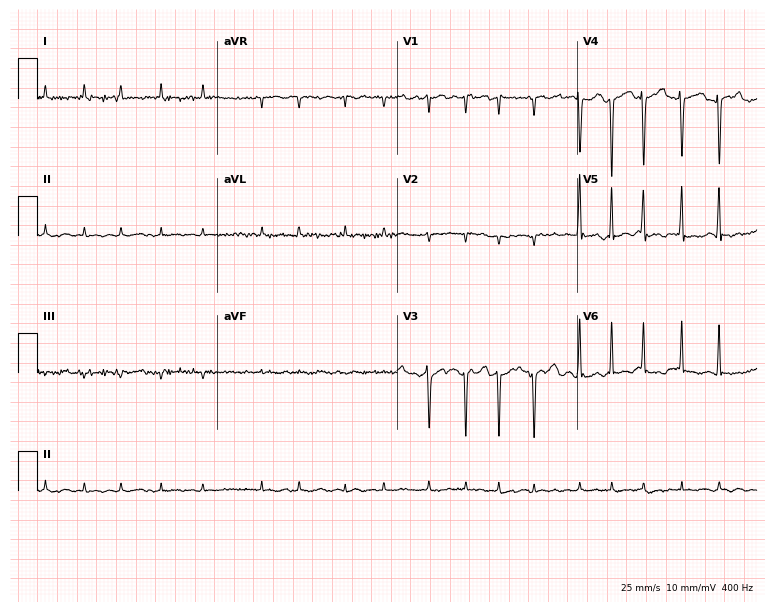
12-lead ECG (7.3-second recording at 400 Hz) from an 85-year-old female patient. Findings include atrial fibrillation.